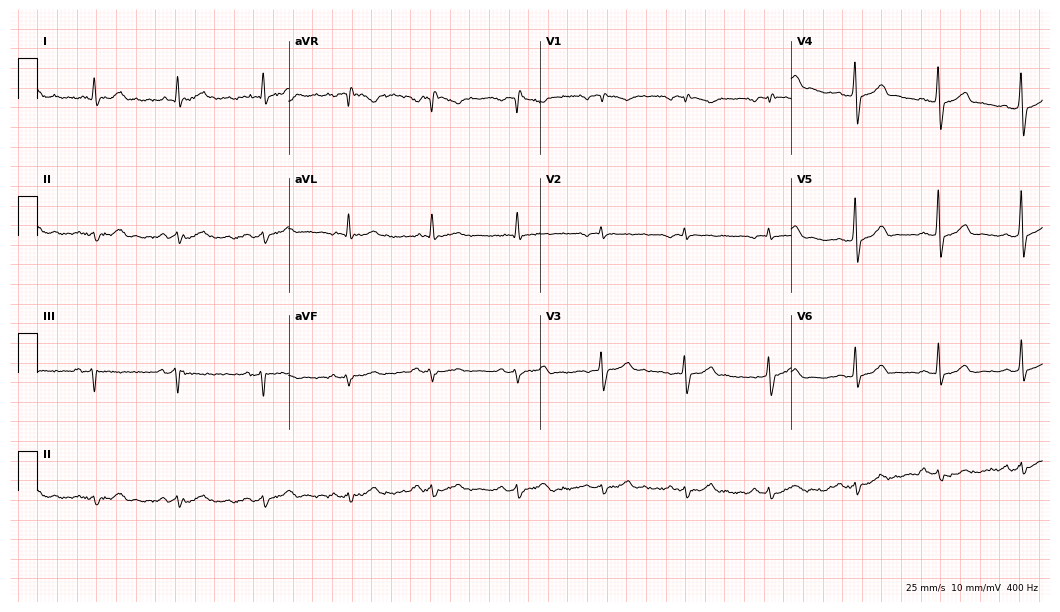
12-lead ECG from a man, 64 years old. No first-degree AV block, right bundle branch block (RBBB), left bundle branch block (LBBB), sinus bradycardia, atrial fibrillation (AF) or sinus tachycardia recorded for this tracing. Other findings, if any, are not listed.